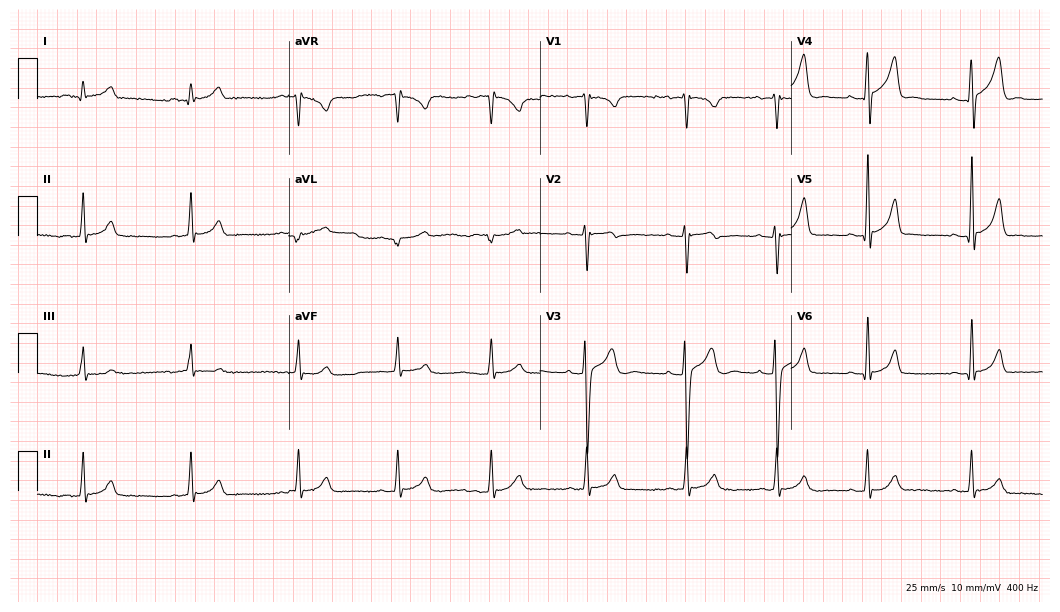
ECG — a 20-year-old man. Screened for six findings — first-degree AV block, right bundle branch block, left bundle branch block, sinus bradycardia, atrial fibrillation, sinus tachycardia — none is recorded.